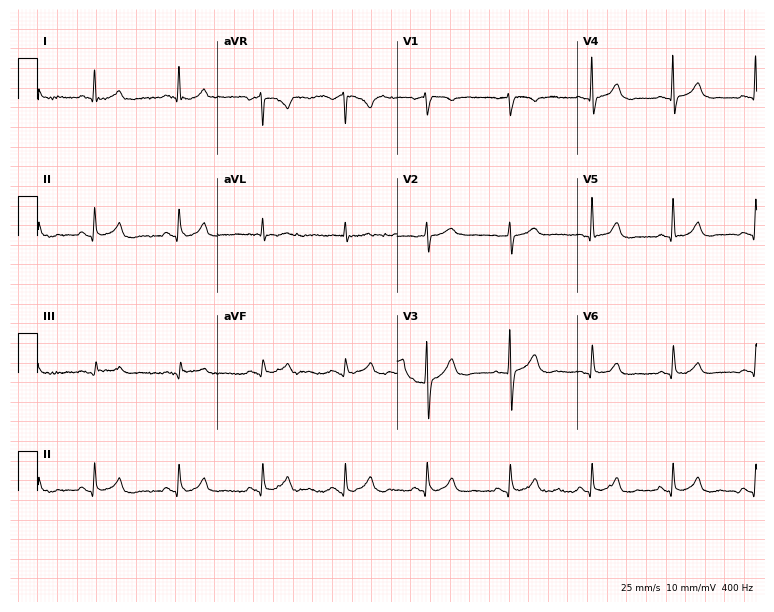
ECG — a 51-year-old male. Labelled as a normal ECG.